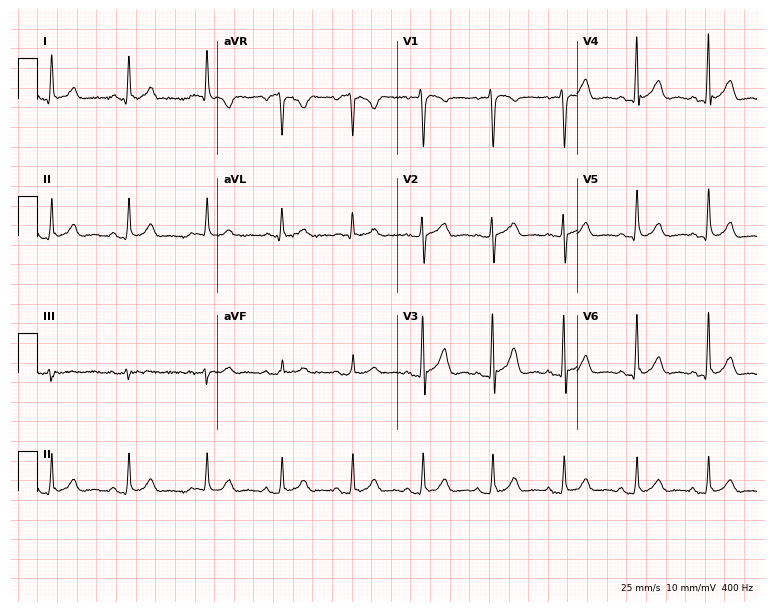
Standard 12-lead ECG recorded from a man, 47 years old (7.3-second recording at 400 Hz). Read as a normal ECG.